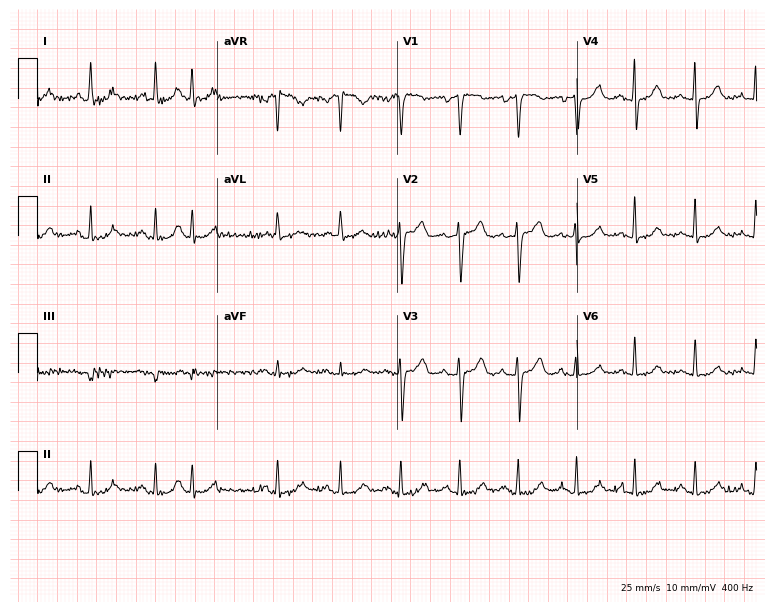
Standard 12-lead ECG recorded from a 73-year-old woman. None of these six findings is recorded: first-degree AV block, right bundle branch block (RBBB), left bundle branch block (LBBB), sinus bradycardia, atrial fibrillation (AF), sinus tachycardia.